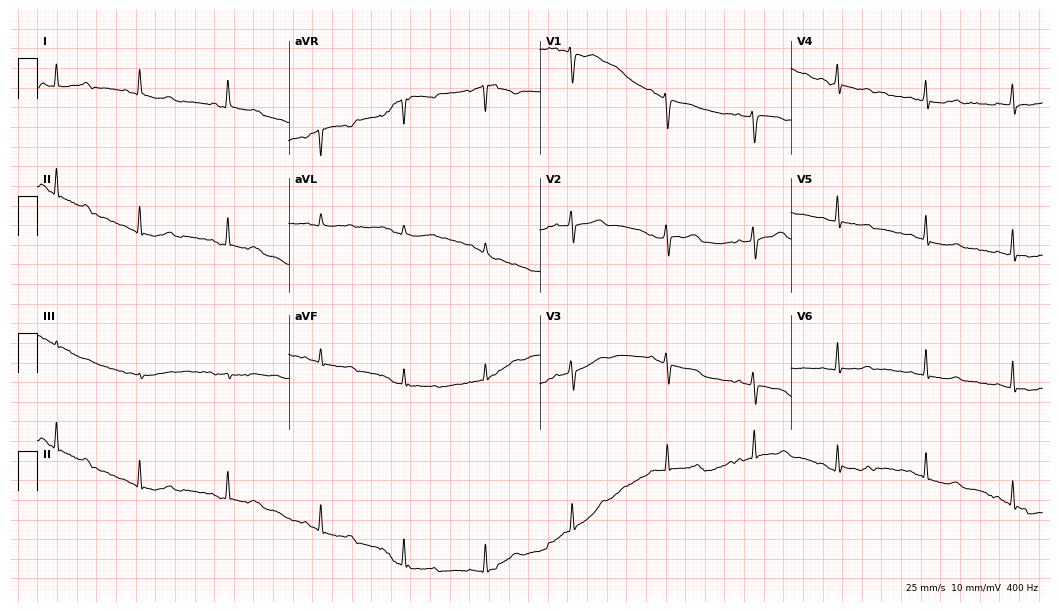
Resting 12-lead electrocardiogram. Patient: a 49-year-old female. None of these six findings is recorded: first-degree AV block, right bundle branch block, left bundle branch block, sinus bradycardia, atrial fibrillation, sinus tachycardia.